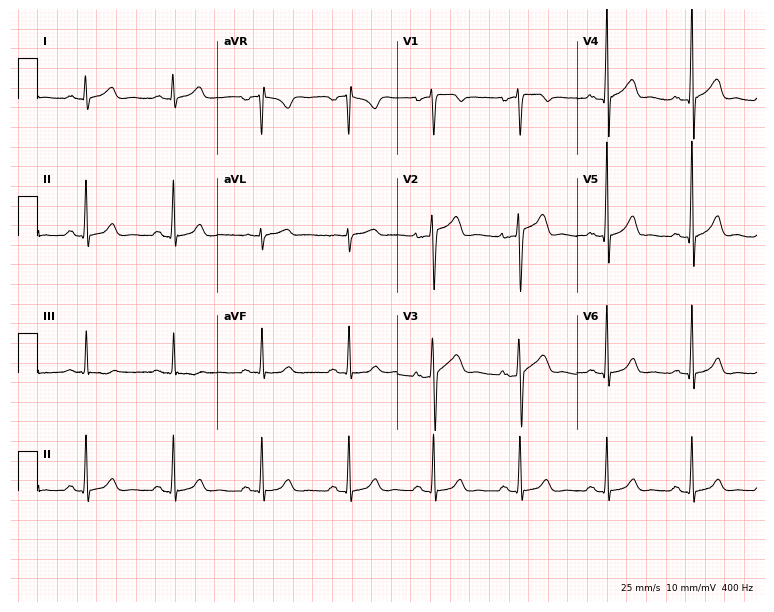
ECG — a 42-year-old male patient. Labelled as a normal ECG.